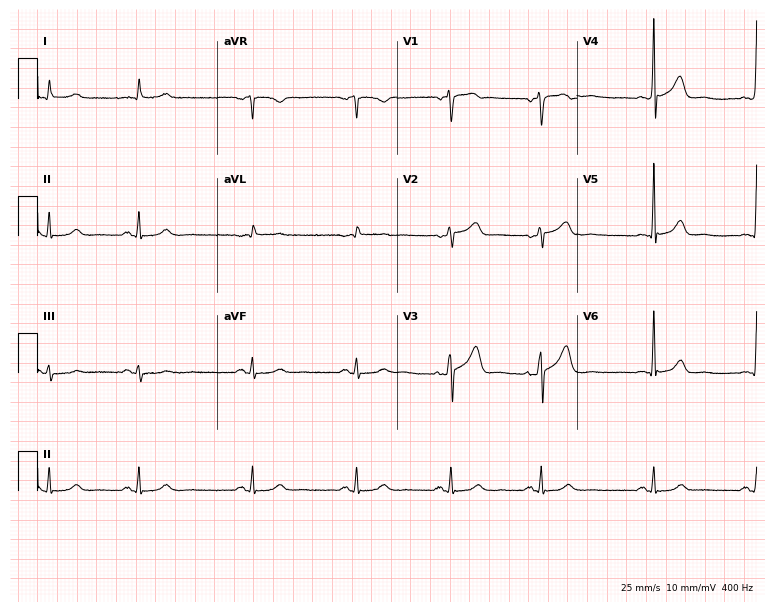
Standard 12-lead ECG recorded from an 85-year-old male (7.3-second recording at 400 Hz). Read as a normal ECG.